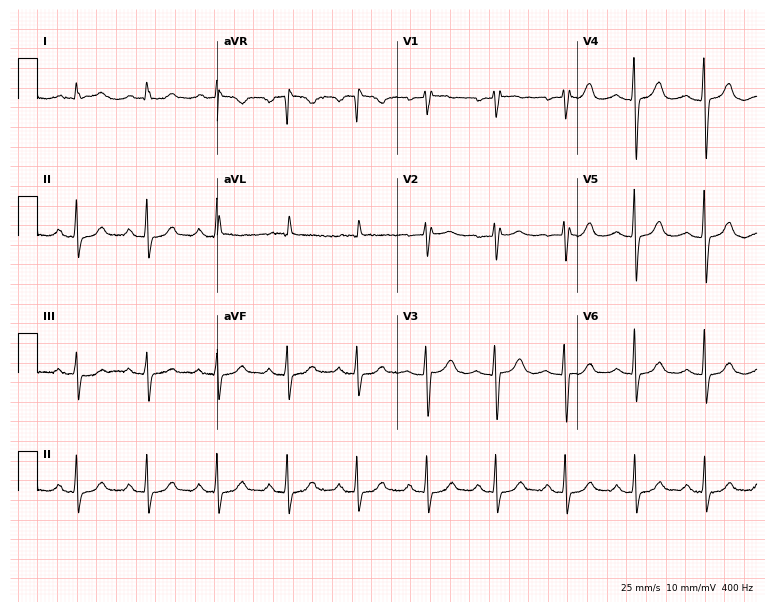
12-lead ECG from a female patient, 73 years old. No first-degree AV block, right bundle branch block, left bundle branch block, sinus bradycardia, atrial fibrillation or sinus tachycardia recorded for this tracing.